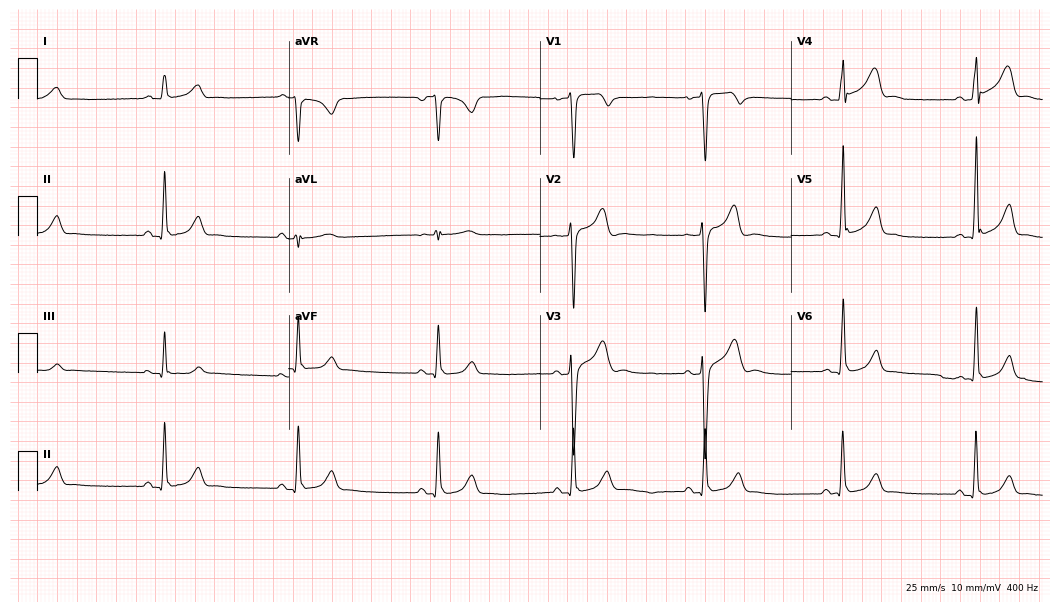
Resting 12-lead electrocardiogram. Patient: a 40-year-old male. The tracing shows sinus bradycardia (a sinus rate of 50 beats per minute or less).